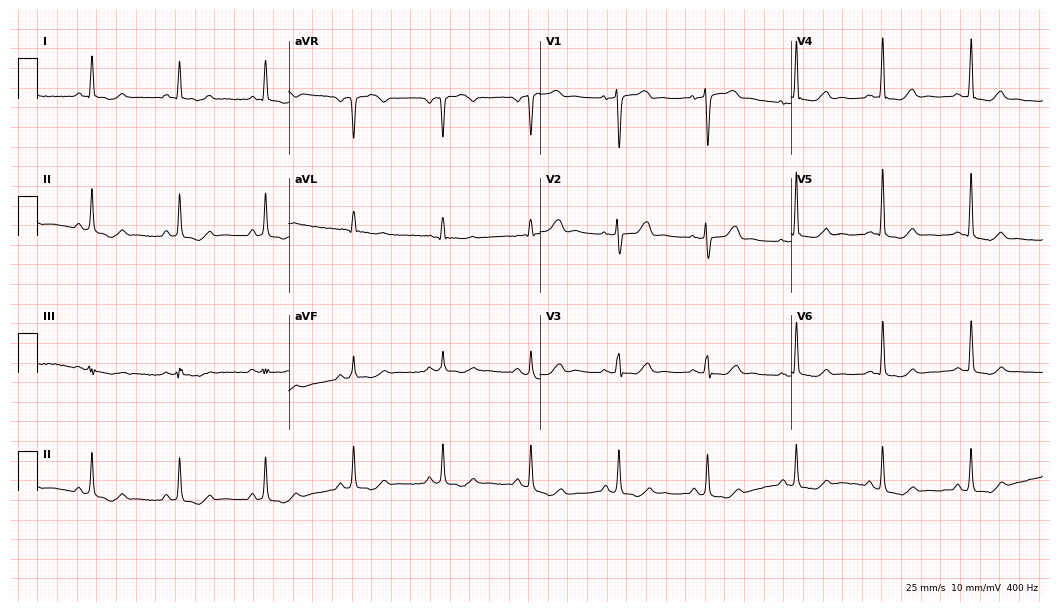
12-lead ECG from a female, 68 years old. Screened for six findings — first-degree AV block, right bundle branch block, left bundle branch block, sinus bradycardia, atrial fibrillation, sinus tachycardia — none is recorded.